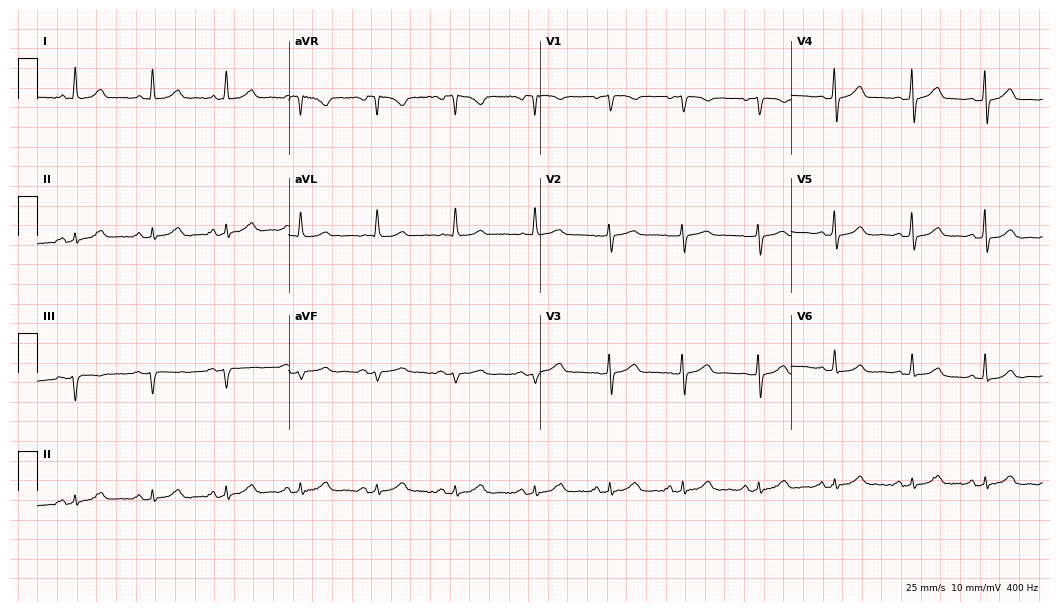
Standard 12-lead ECG recorded from a woman, 72 years old (10.2-second recording at 400 Hz). Read as a normal ECG.